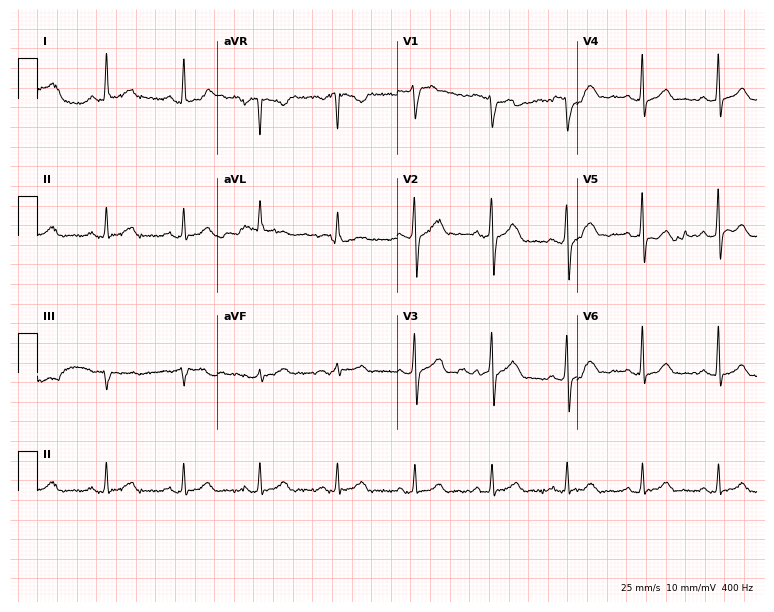
Electrocardiogram, a male patient, 39 years old. Overall reading on record: normal ECG.